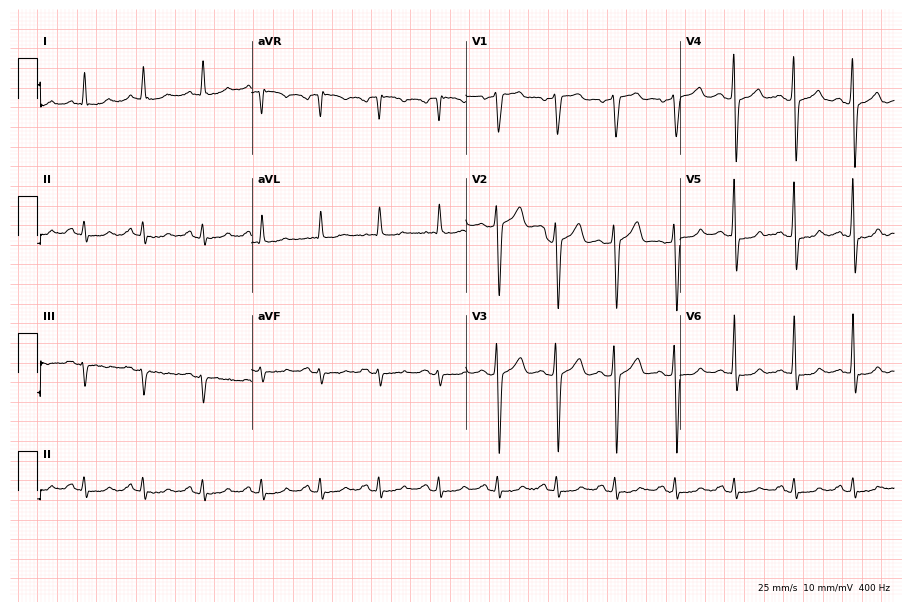
Electrocardiogram, a 61-year-old male patient. Of the six screened findings (first-degree AV block, right bundle branch block, left bundle branch block, sinus bradycardia, atrial fibrillation, sinus tachycardia), none is recorded.